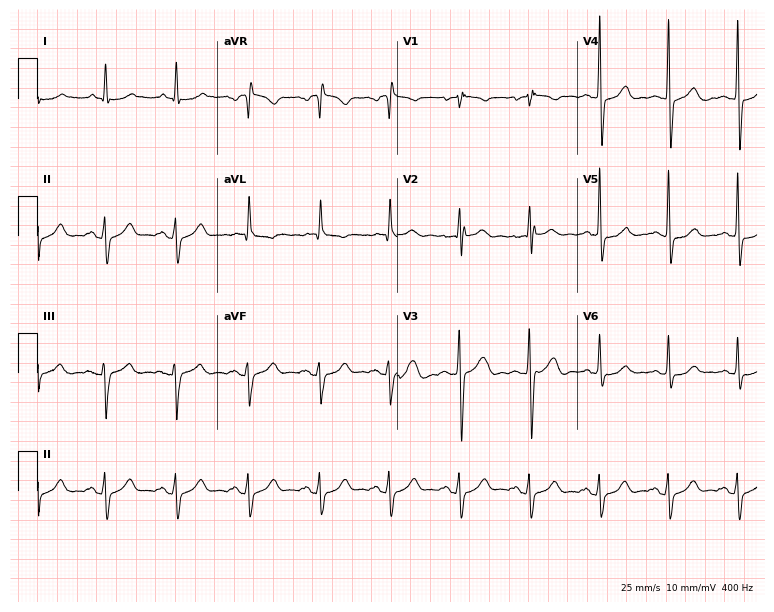
12-lead ECG from a 50-year-old male (7.3-second recording at 400 Hz). No first-degree AV block, right bundle branch block, left bundle branch block, sinus bradycardia, atrial fibrillation or sinus tachycardia recorded for this tracing. Other findings, if any, are not listed.